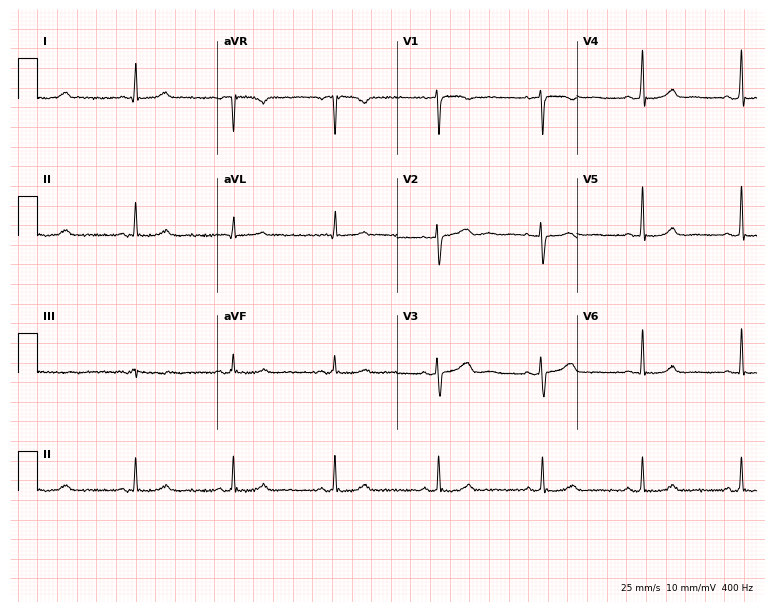
Resting 12-lead electrocardiogram (7.3-second recording at 400 Hz). Patient: a 41-year-old female. Read as a normal ECG.